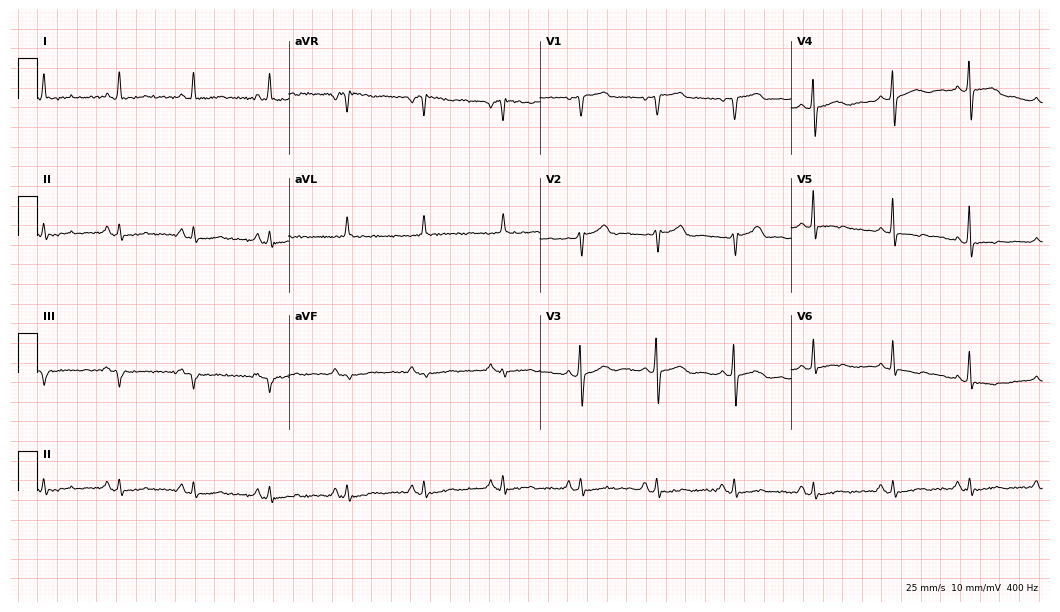
Resting 12-lead electrocardiogram. Patient: a female, 44 years old. None of these six findings is recorded: first-degree AV block, right bundle branch block, left bundle branch block, sinus bradycardia, atrial fibrillation, sinus tachycardia.